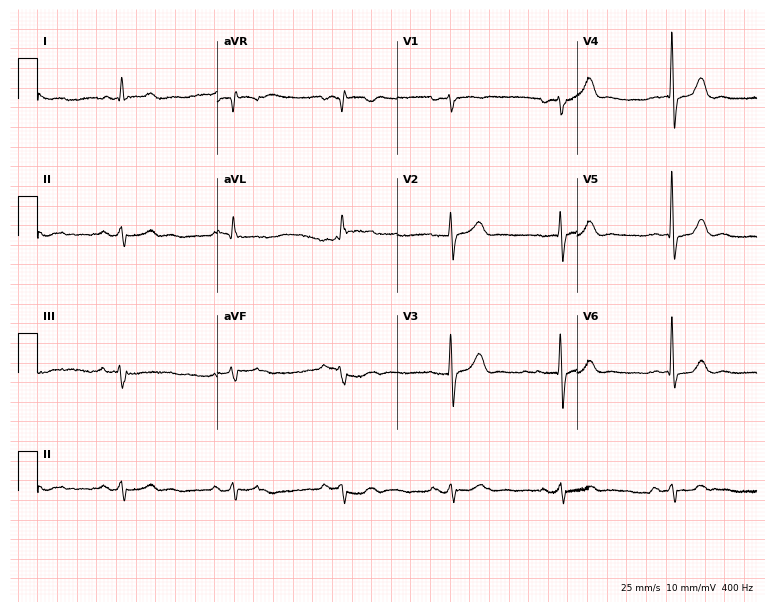
Resting 12-lead electrocardiogram (7.3-second recording at 400 Hz). Patient: a 73-year-old man. None of these six findings is recorded: first-degree AV block, right bundle branch block, left bundle branch block, sinus bradycardia, atrial fibrillation, sinus tachycardia. Only these six findings were labelled.